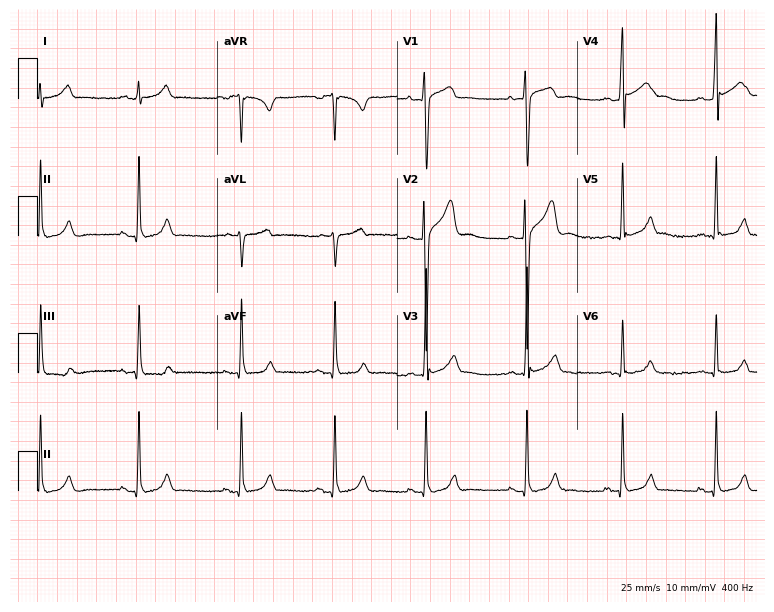
12-lead ECG (7.3-second recording at 400 Hz) from a 19-year-old man. Labelled as a normal ECG.